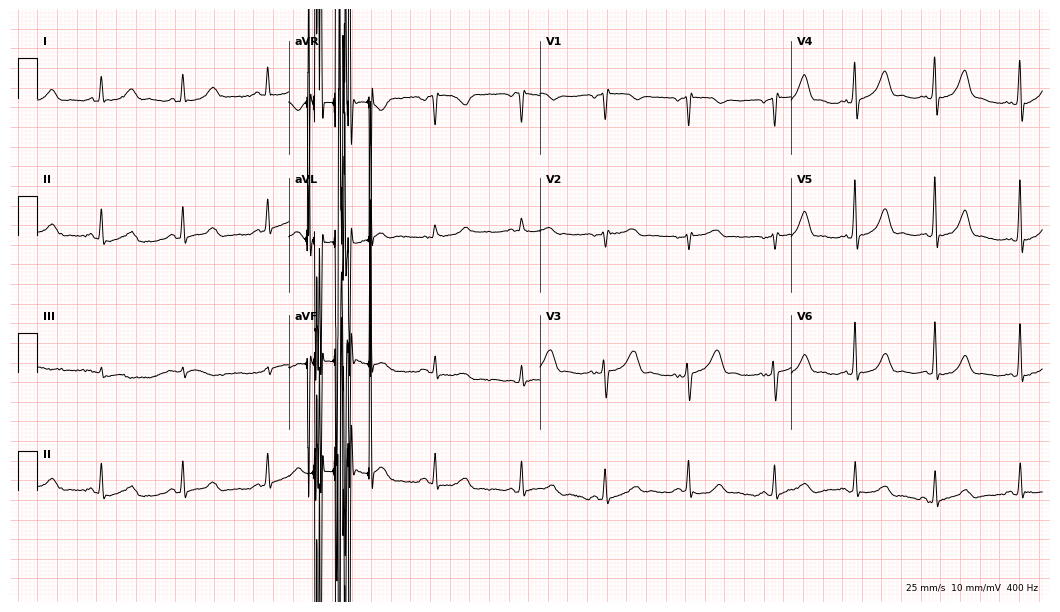
ECG — a female, 65 years old. Screened for six findings — first-degree AV block, right bundle branch block (RBBB), left bundle branch block (LBBB), sinus bradycardia, atrial fibrillation (AF), sinus tachycardia — none is recorded. Other findings, if any, are not listed.